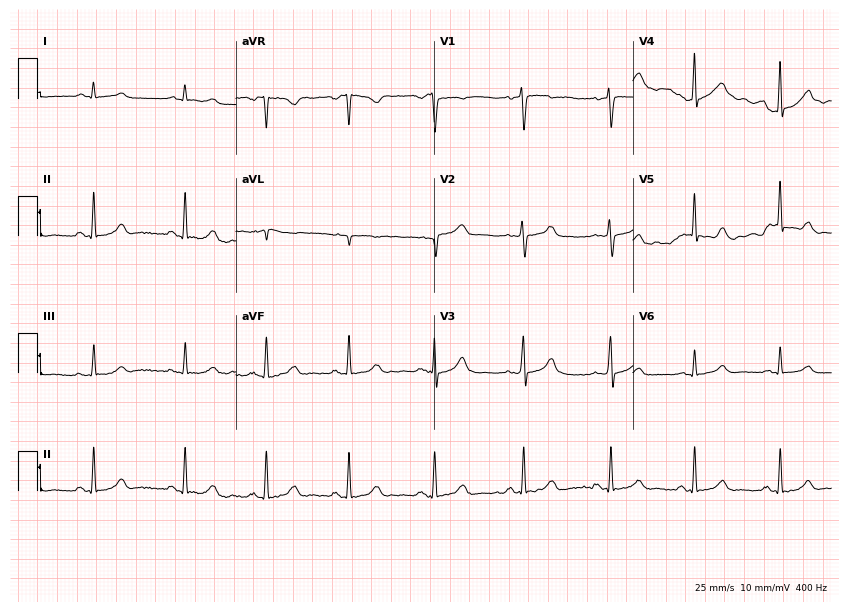
Electrocardiogram, a woman, 36 years old. Of the six screened findings (first-degree AV block, right bundle branch block, left bundle branch block, sinus bradycardia, atrial fibrillation, sinus tachycardia), none is recorded. Only these six findings were labelled.